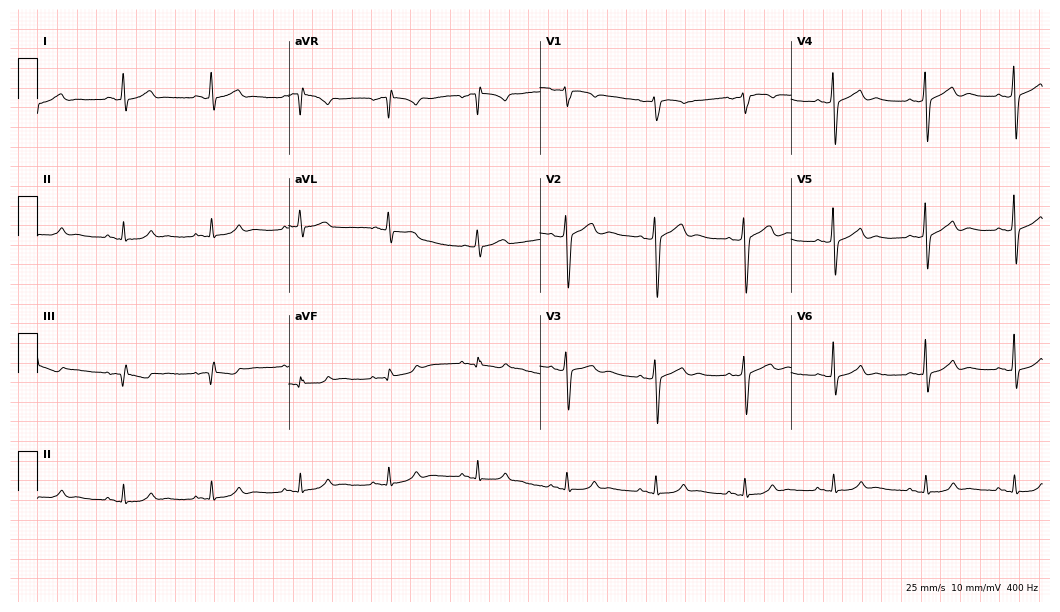
12-lead ECG (10.2-second recording at 400 Hz) from a 65-year-old female. Labelled as a normal ECG.